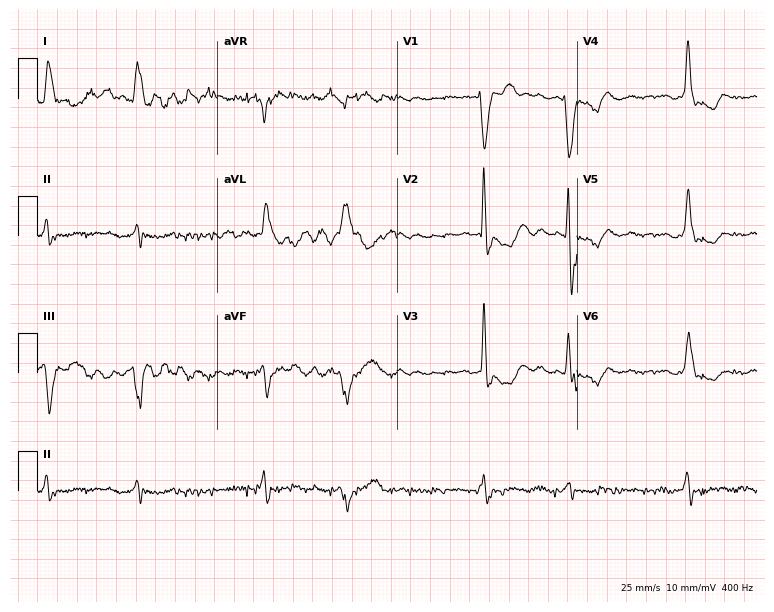
Electrocardiogram, a male patient, 76 years old. Interpretation includes left bundle branch block (LBBB), atrial fibrillation (AF).